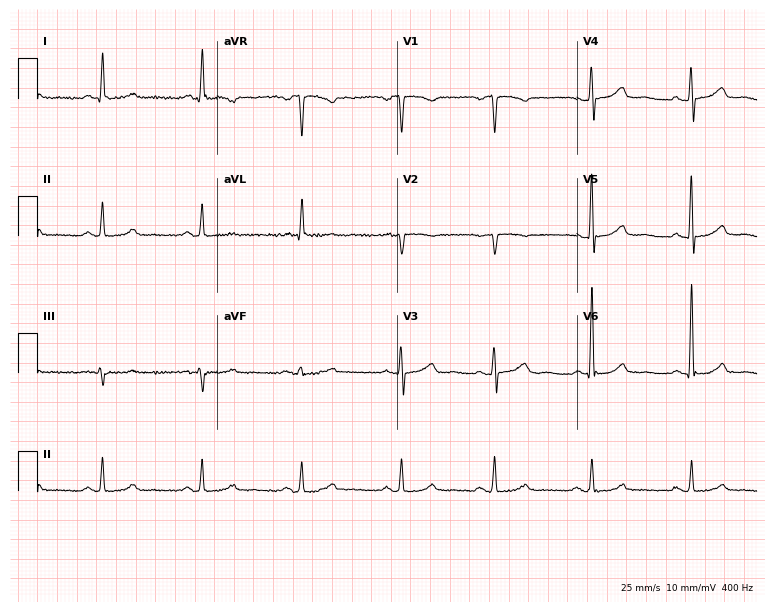
12-lead ECG (7.3-second recording at 400 Hz) from a 51-year-old woman. Labelled as a normal ECG.